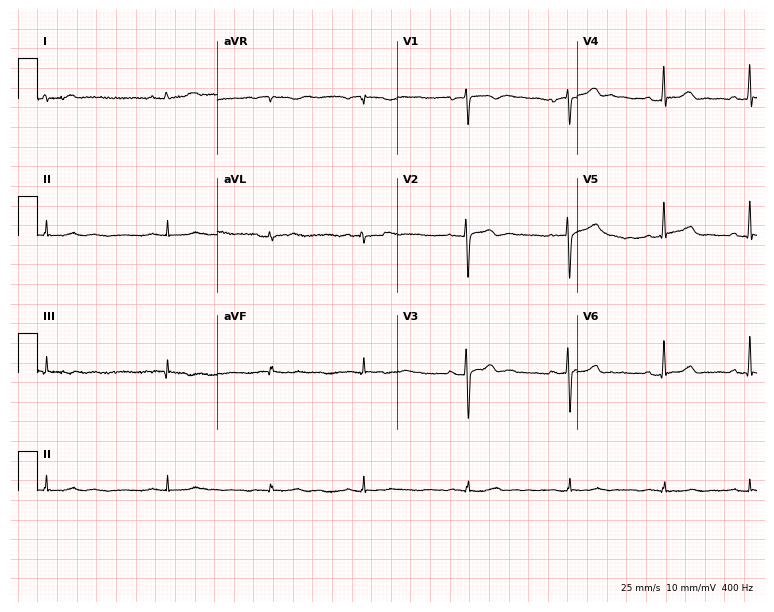
Standard 12-lead ECG recorded from a woman, 19 years old (7.3-second recording at 400 Hz). None of these six findings is recorded: first-degree AV block, right bundle branch block (RBBB), left bundle branch block (LBBB), sinus bradycardia, atrial fibrillation (AF), sinus tachycardia.